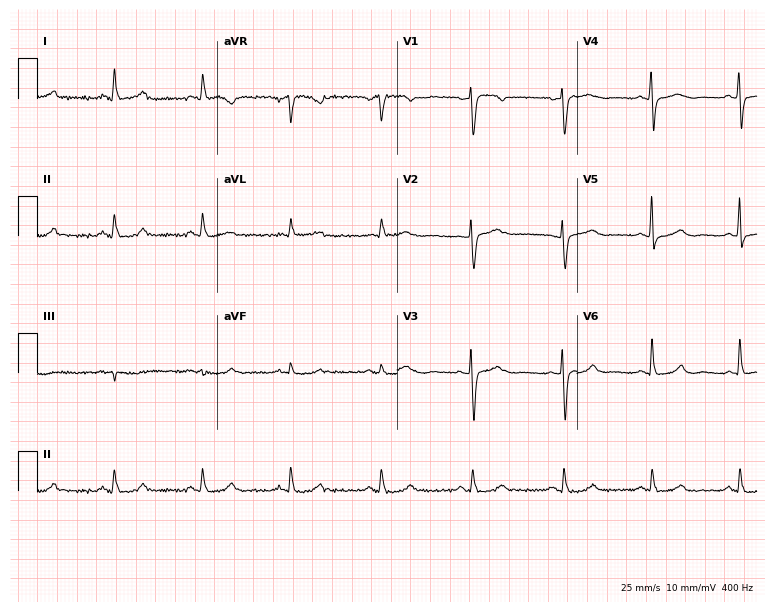
Standard 12-lead ECG recorded from a 49-year-old female patient (7.3-second recording at 400 Hz). Read as a normal ECG.